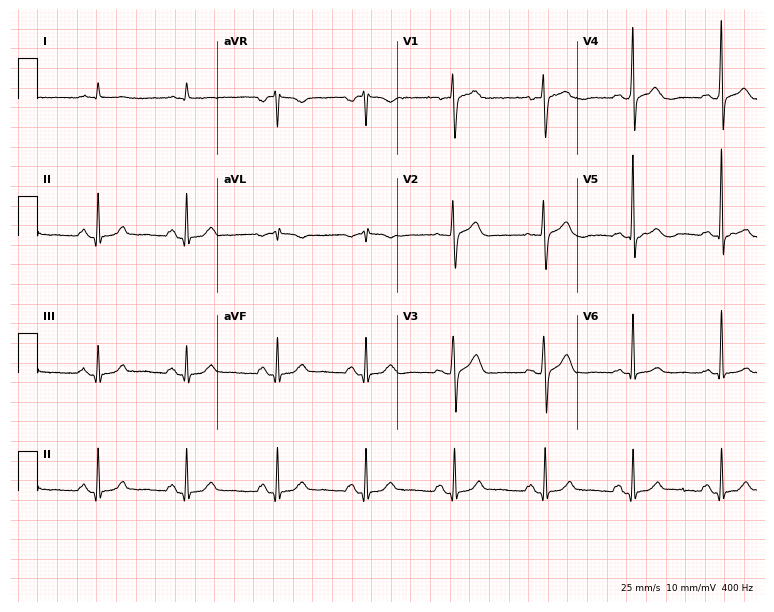
12-lead ECG from a male patient, 61 years old. Recorded interpretation: within normal limits.